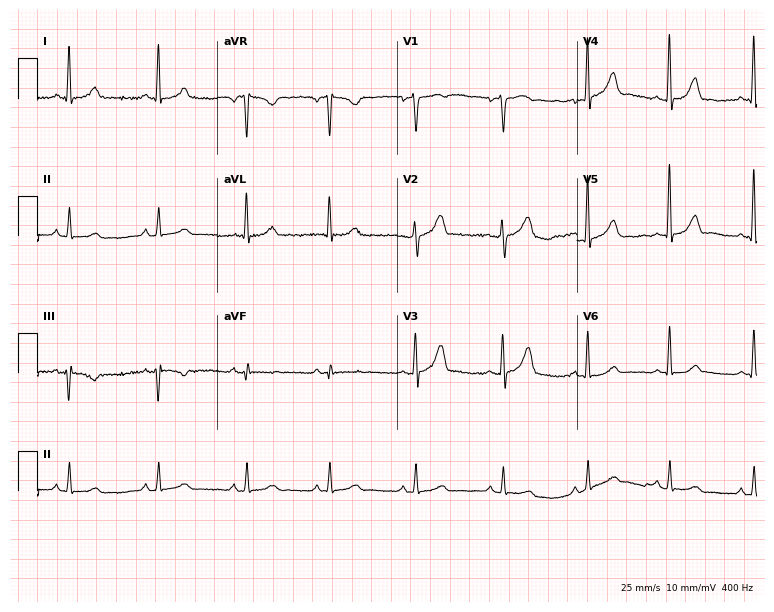
Electrocardiogram (7.3-second recording at 400 Hz), a woman, 51 years old. Of the six screened findings (first-degree AV block, right bundle branch block, left bundle branch block, sinus bradycardia, atrial fibrillation, sinus tachycardia), none is recorded. Other findings, if any, are not listed.